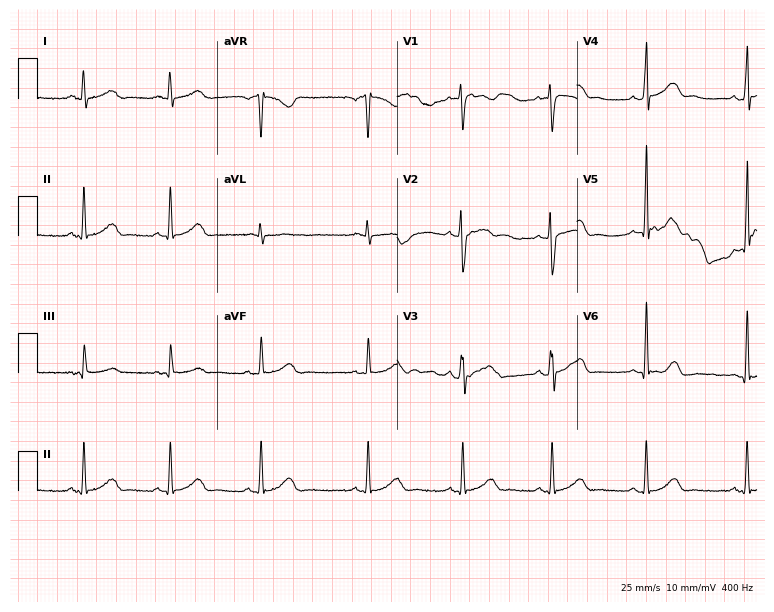
12-lead ECG from a female, 28 years old. Labelled as a normal ECG.